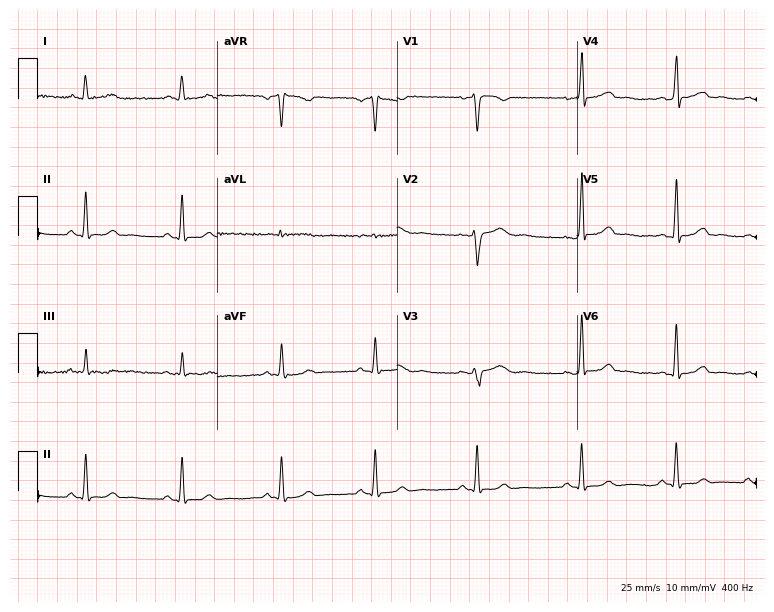
Resting 12-lead electrocardiogram (7.3-second recording at 400 Hz). Patient: a 42-year-old female. None of these six findings is recorded: first-degree AV block, right bundle branch block, left bundle branch block, sinus bradycardia, atrial fibrillation, sinus tachycardia.